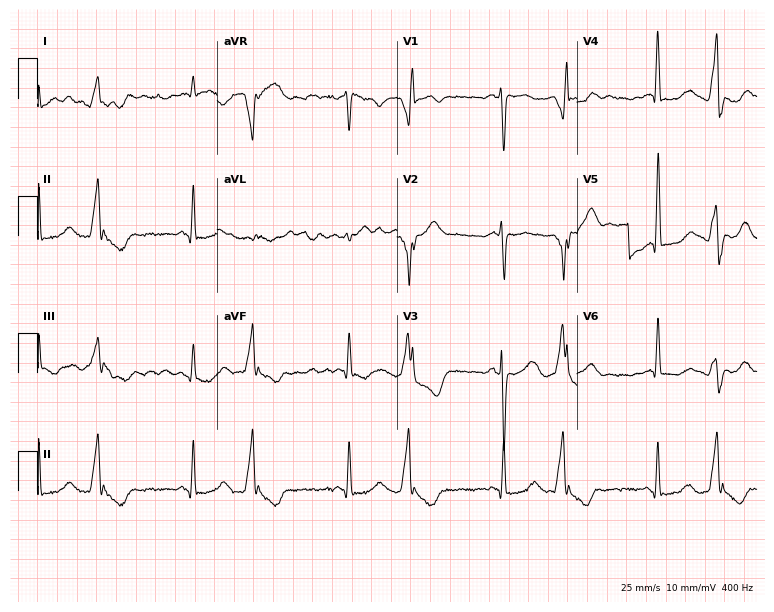
12-lead ECG from a 60-year-old female patient. No first-degree AV block, right bundle branch block, left bundle branch block, sinus bradycardia, atrial fibrillation or sinus tachycardia recorded for this tracing.